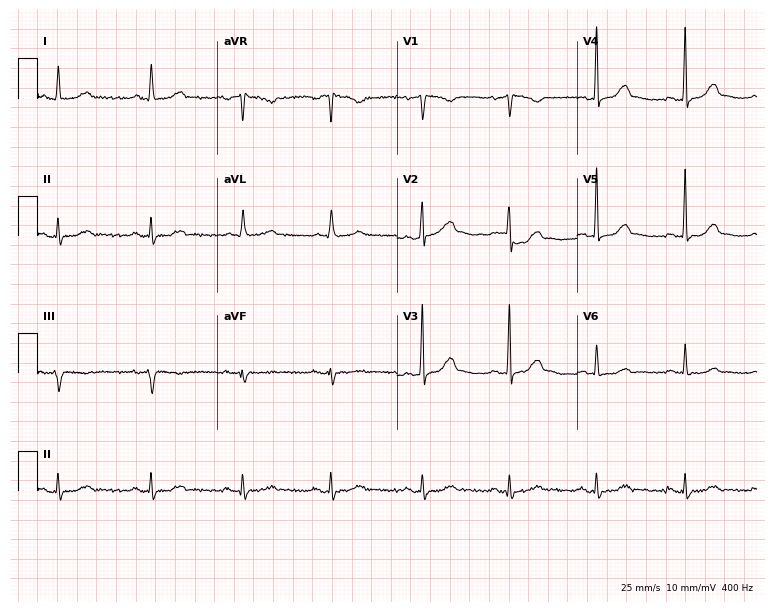
Resting 12-lead electrocardiogram. Patient: a female, 50 years old. Read as a normal ECG.